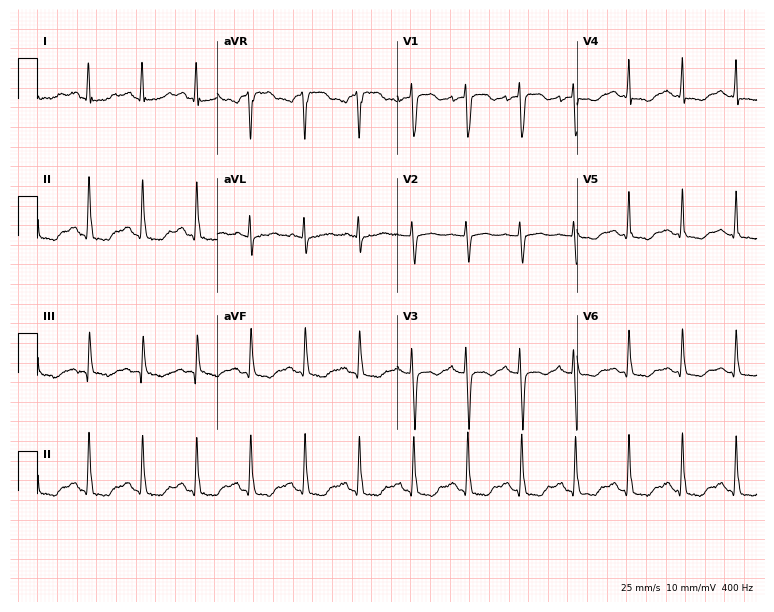
Resting 12-lead electrocardiogram. Patient: a female, 34 years old. The tracing shows sinus tachycardia (a sinus rate of 100 beats per minute or more).